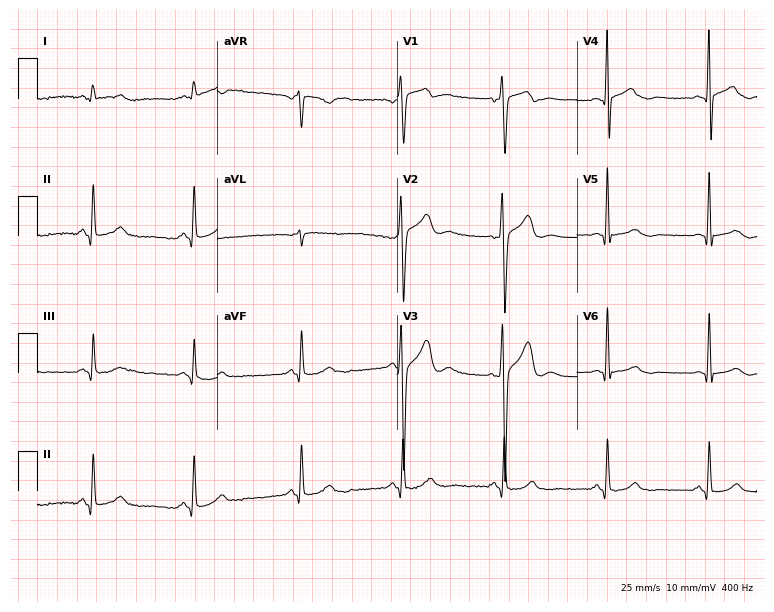
Electrocardiogram (7.3-second recording at 400 Hz), a woman, 75 years old. Of the six screened findings (first-degree AV block, right bundle branch block, left bundle branch block, sinus bradycardia, atrial fibrillation, sinus tachycardia), none is recorded. Findings outside these six are not listed.